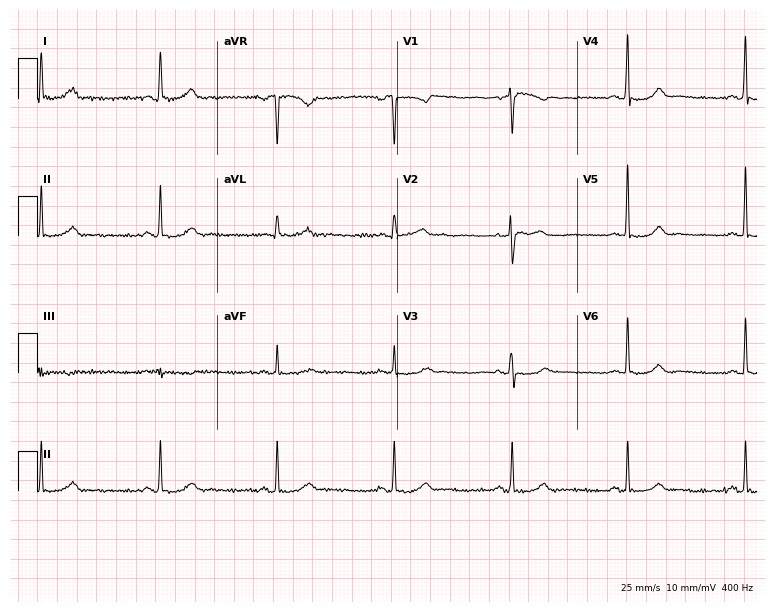
12-lead ECG from a female, 57 years old (7.3-second recording at 400 Hz). Shows sinus bradycardia (a sinus rate of 50 beats per minute or less).